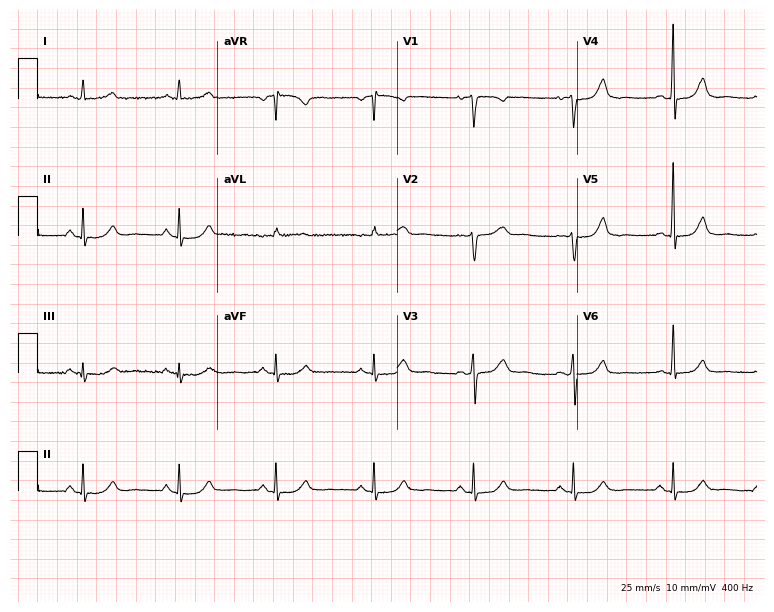
Standard 12-lead ECG recorded from a 56-year-old woman (7.3-second recording at 400 Hz). None of these six findings is recorded: first-degree AV block, right bundle branch block, left bundle branch block, sinus bradycardia, atrial fibrillation, sinus tachycardia. Other findings, if any, are not listed.